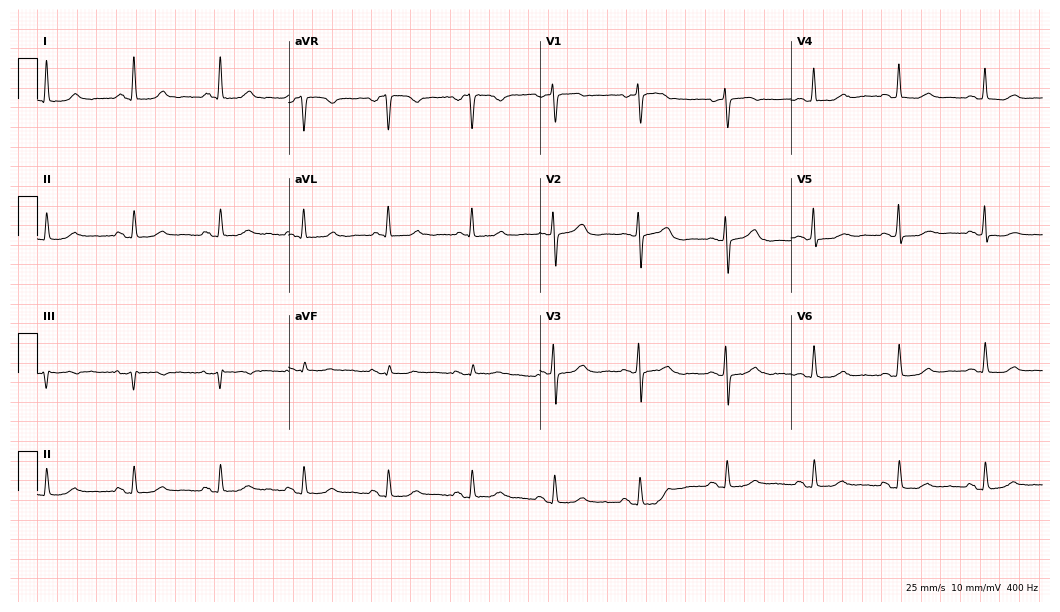
Standard 12-lead ECG recorded from a woman, 63 years old. None of these six findings is recorded: first-degree AV block, right bundle branch block (RBBB), left bundle branch block (LBBB), sinus bradycardia, atrial fibrillation (AF), sinus tachycardia.